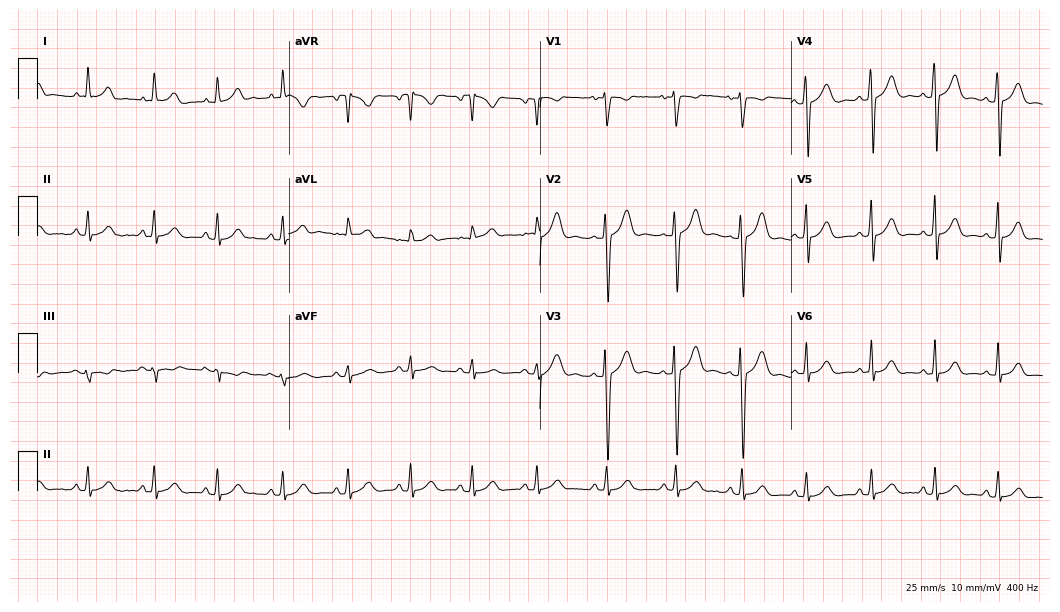
ECG — a 23-year-old female patient. Screened for six findings — first-degree AV block, right bundle branch block, left bundle branch block, sinus bradycardia, atrial fibrillation, sinus tachycardia — none is recorded.